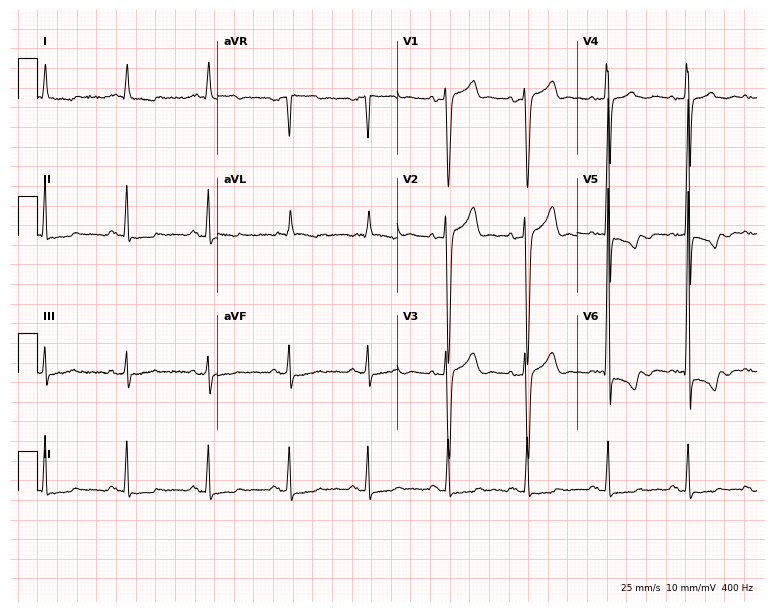
ECG — a 65-year-old man. Screened for six findings — first-degree AV block, right bundle branch block, left bundle branch block, sinus bradycardia, atrial fibrillation, sinus tachycardia — none is recorded.